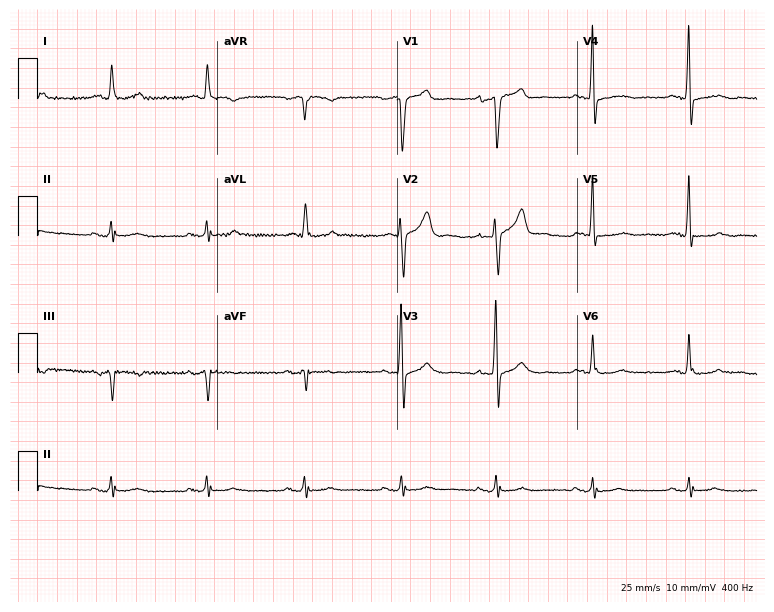
12-lead ECG from a male, 74 years old. Screened for six findings — first-degree AV block, right bundle branch block (RBBB), left bundle branch block (LBBB), sinus bradycardia, atrial fibrillation (AF), sinus tachycardia — none is recorded. Findings outside these six are not listed.